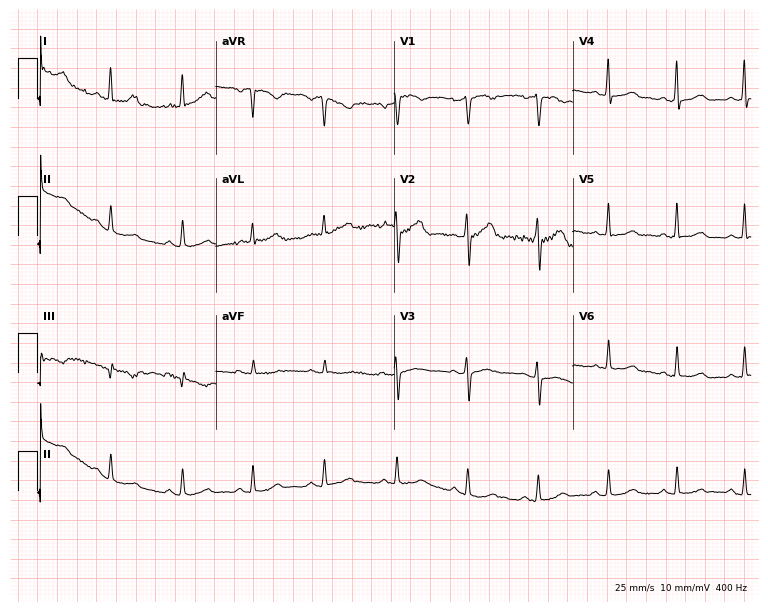
12-lead ECG from a 42-year-old female patient (7.3-second recording at 400 Hz). Recorded interpretation: within normal limits.